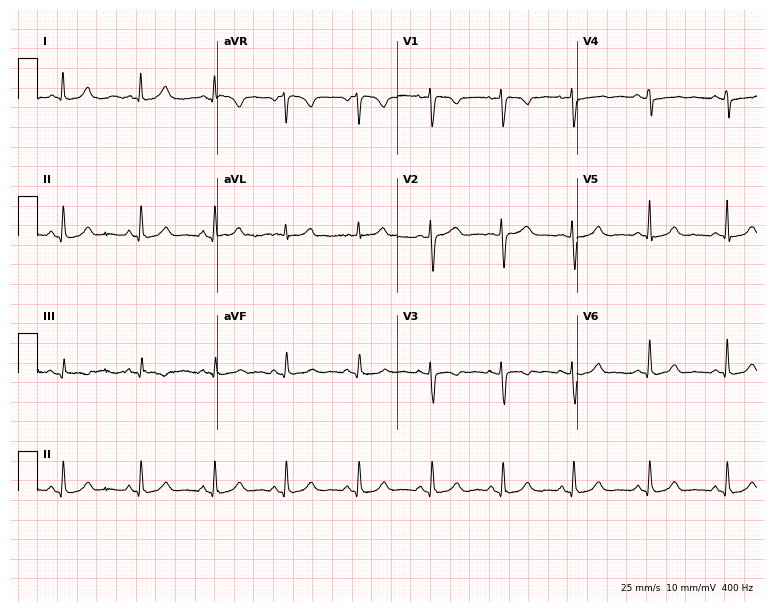
ECG — a female patient, 33 years old. Labelled as a normal ECG.